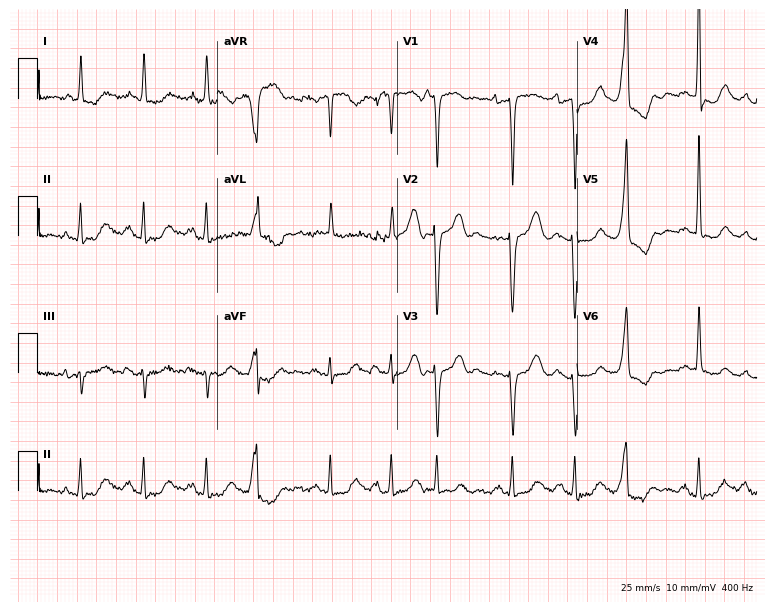
12-lead ECG from a woman, 79 years old (7.3-second recording at 400 Hz). No first-degree AV block, right bundle branch block (RBBB), left bundle branch block (LBBB), sinus bradycardia, atrial fibrillation (AF) or sinus tachycardia recorded for this tracing. Only these six findings were labelled.